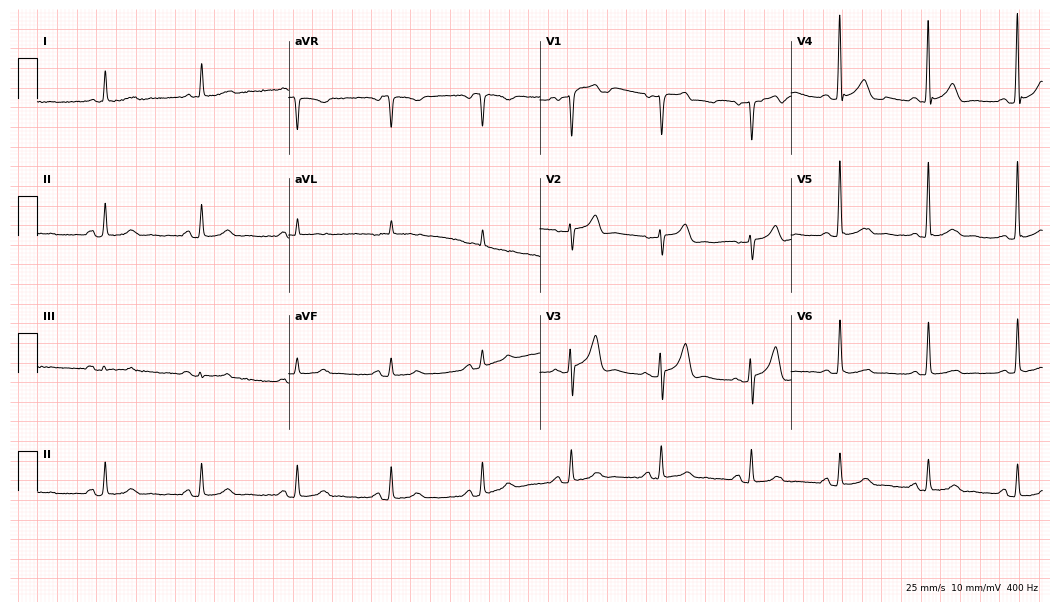
12-lead ECG from a 79-year-old male patient (10.2-second recording at 400 Hz). No first-degree AV block, right bundle branch block (RBBB), left bundle branch block (LBBB), sinus bradycardia, atrial fibrillation (AF) or sinus tachycardia recorded for this tracing.